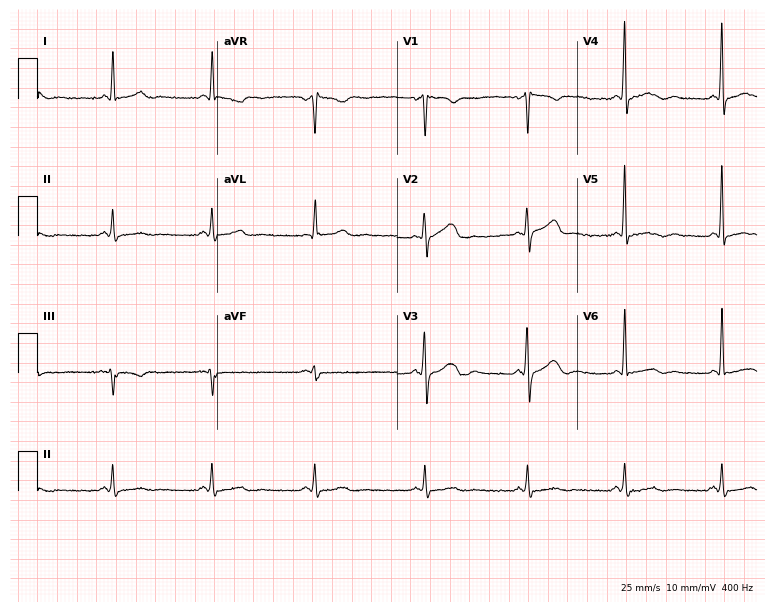
ECG — a male, 69 years old. Screened for six findings — first-degree AV block, right bundle branch block, left bundle branch block, sinus bradycardia, atrial fibrillation, sinus tachycardia — none is recorded.